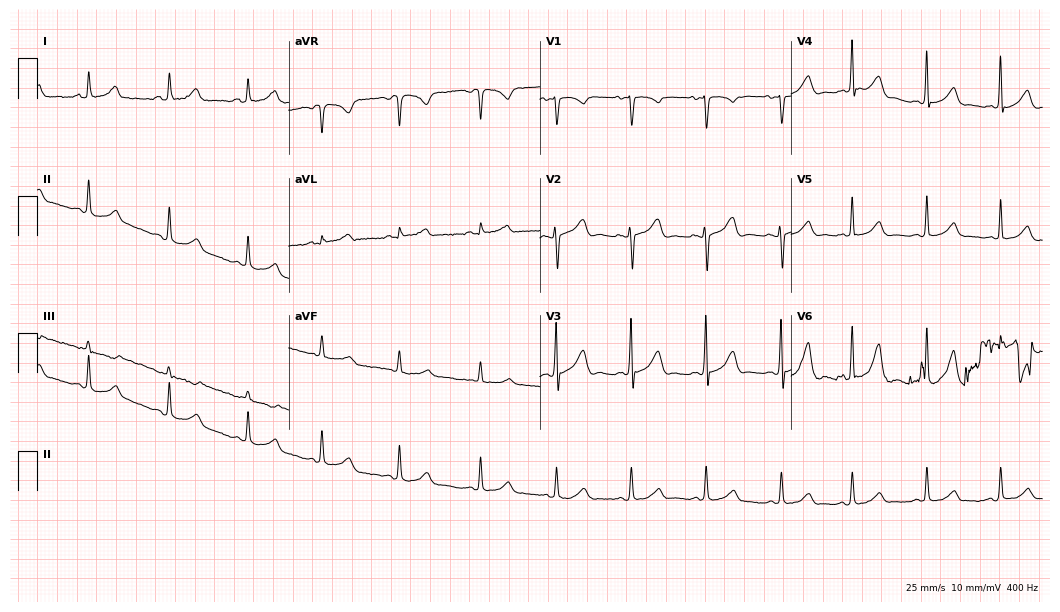
12-lead ECG from a 19-year-old female. Labelled as a normal ECG.